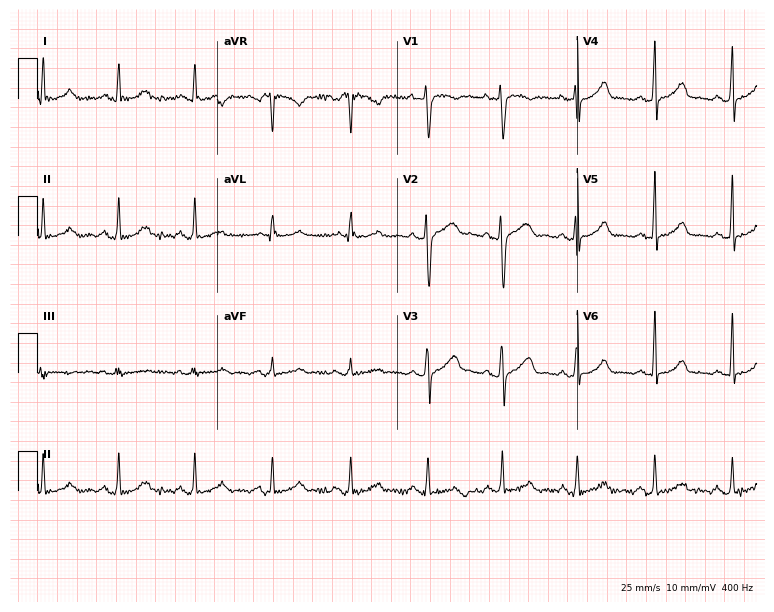
Resting 12-lead electrocardiogram (7.3-second recording at 400 Hz). Patient: a woman, 26 years old. Read as a normal ECG.